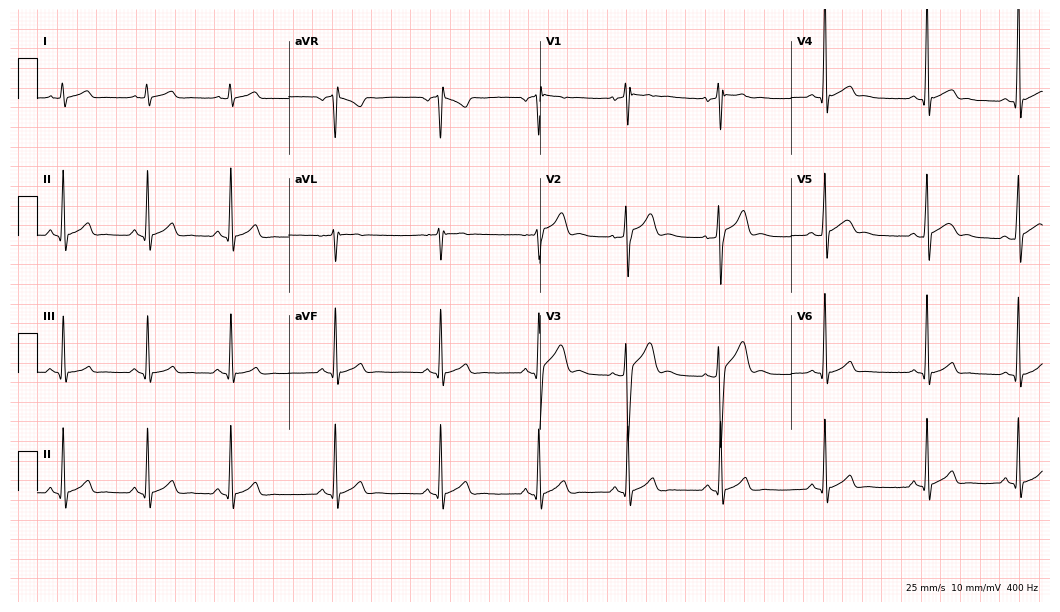
Standard 12-lead ECG recorded from a 19-year-old male patient (10.2-second recording at 400 Hz). Read as a normal ECG.